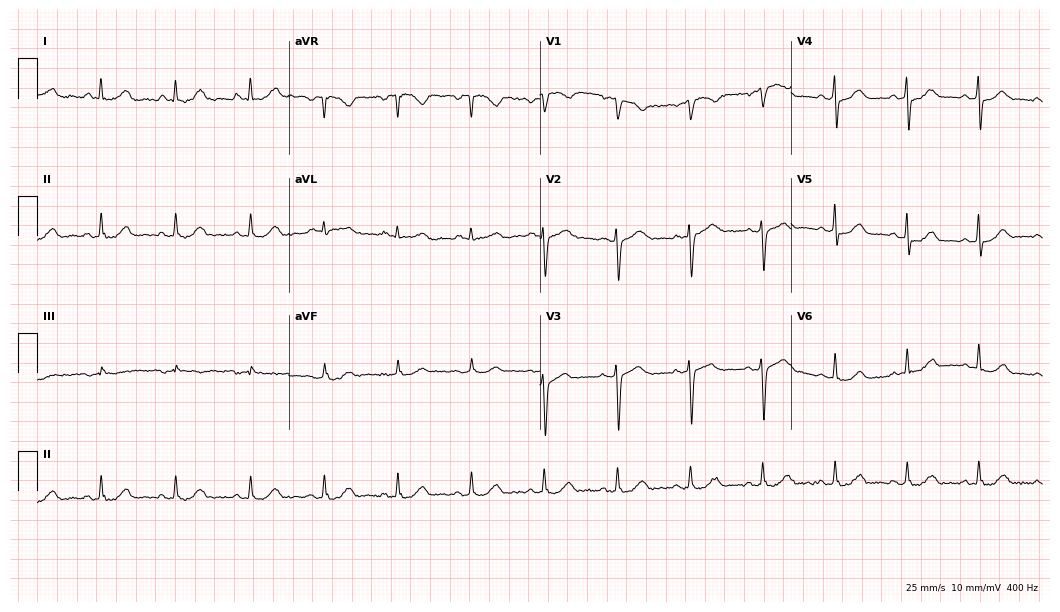
Electrocardiogram, a female, 59 years old. Overall reading on record: normal ECG.